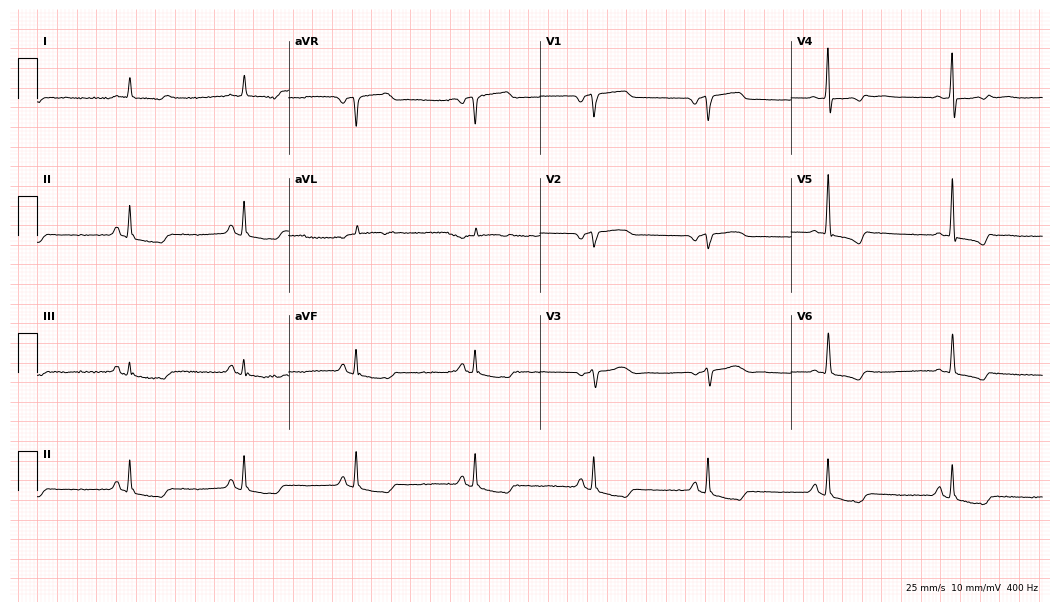
Standard 12-lead ECG recorded from a 62-year-old man (10.2-second recording at 400 Hz). None of these six findings is recorded: first-degree AV block, right bundle branch block (RBBB), left bundle branch block (LBBB), sinus bradycardia, atrial fibrillation (AF), sinus tachycardia. Findings outside these six are not listed.